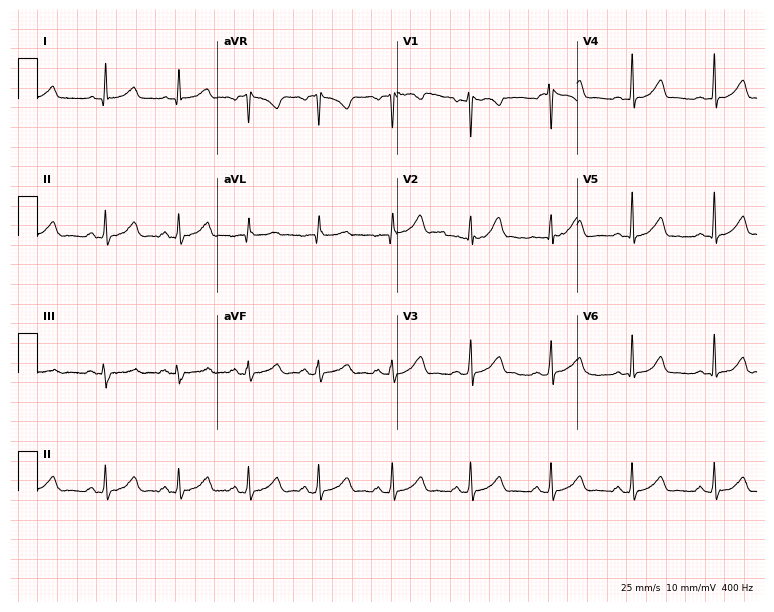
12-lead ECG from a 35-year-old female patient (7.3-second recording at 400 Hz). No first-degree AV block, right bundle branch block (RBBB), left bundle branch block (LBBB), sinus bradycardia, atrial fibrillation (AF) or sinus tachycardia recorded for this tracing.